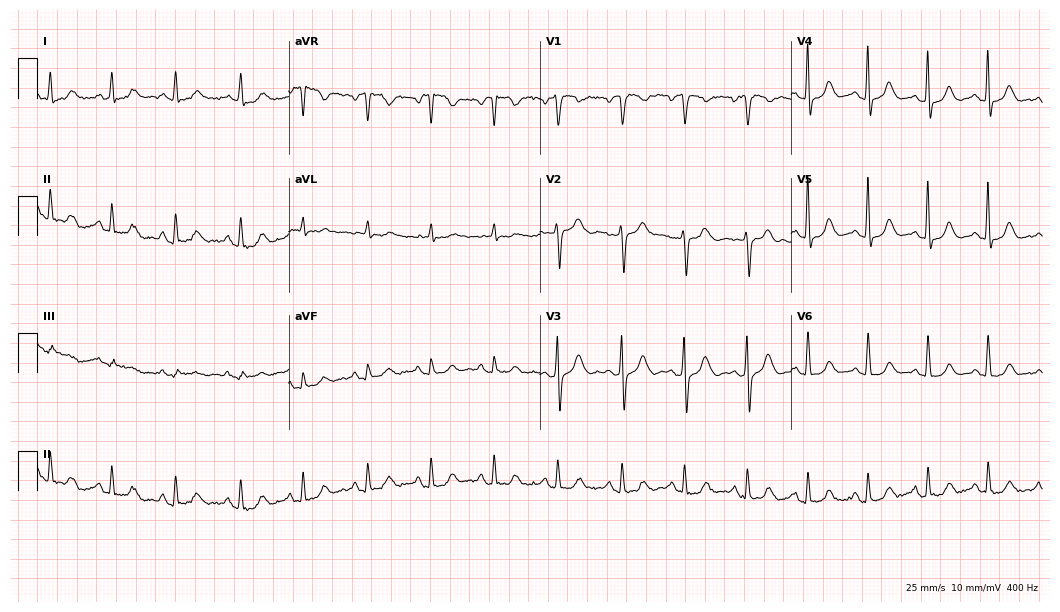
Standard 12-lead ECG recorded from a female, 84 years old (10.2-second recording at 400 Hz). Read as a normal ECG.